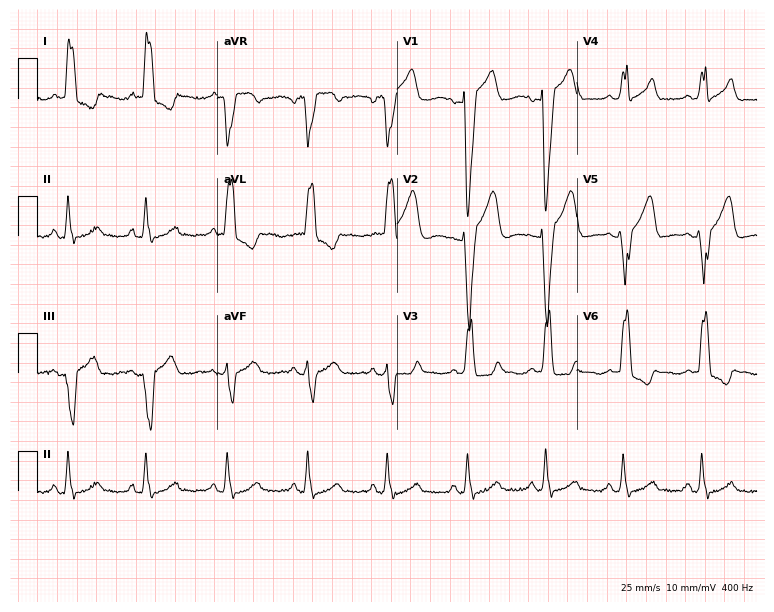
12-lead ECG from a 72-year-old female patient. Shows left bundle branch block (LBBB).